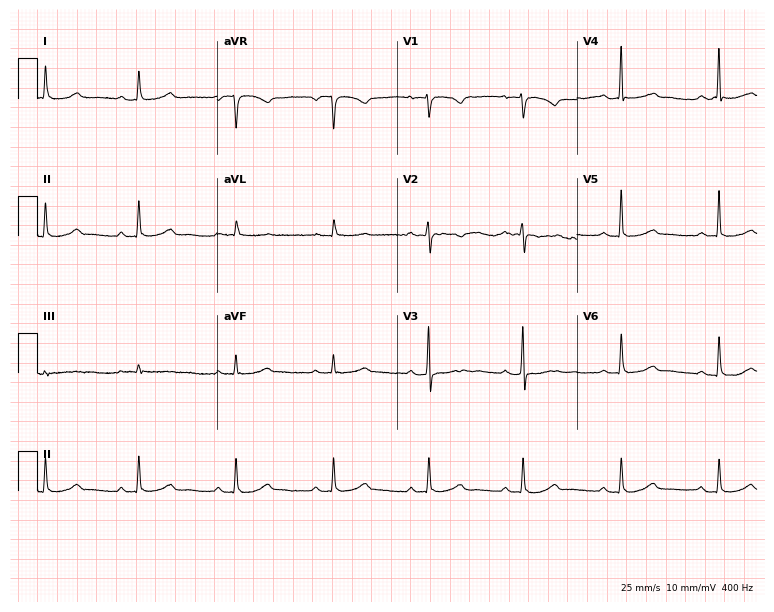
Resting 12-lead electrocardiogram (7.3-second recording at 400 Hz). Patient: a female, 62 years old. Read as a normal ECG.